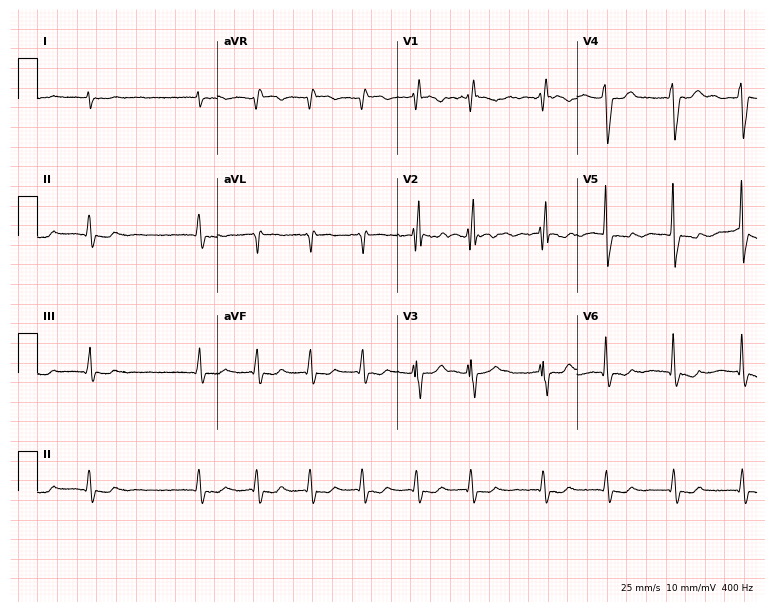
Resting 12-lead electrocardiogram. Patient: a 63-year-old male. The tracing shows right bundle branch block, atrial fibrillation.